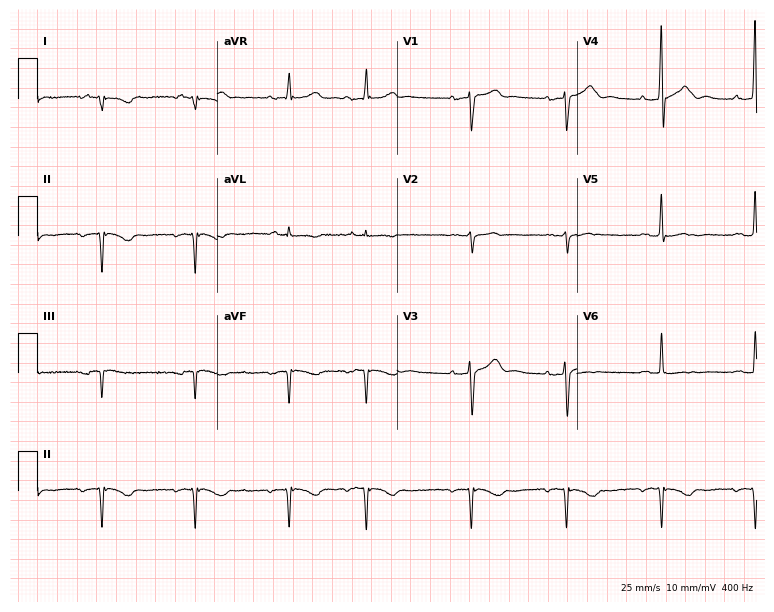
12-lead ECG from a male patient, 78 years old. Screened for six findings — first-degree AV block, right bundle branch block, left bundle branch block, sinus bradycardia, atrial fibrillation, sinus tachycardia — none is recorded.